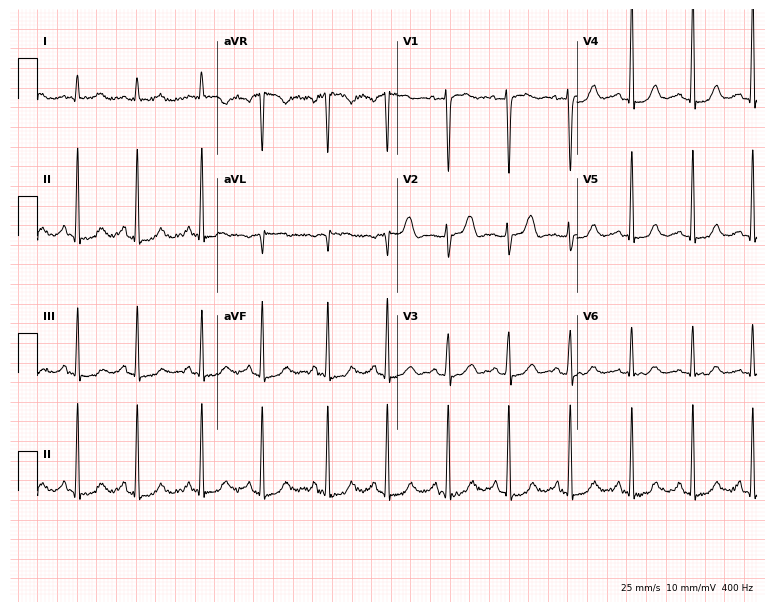
12-lead ECG from a 43-year-old woman. Labelled as a normal ECG.